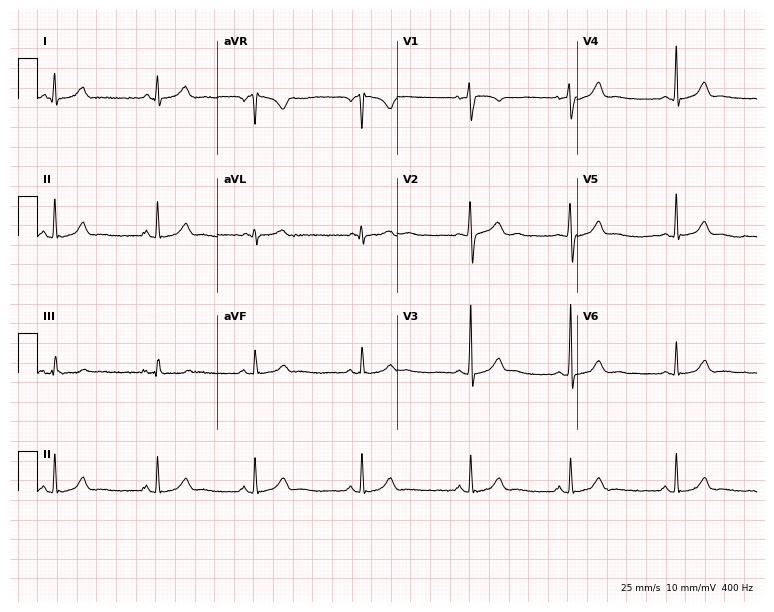
Resting 12-lead electrocardiogram. Patient: a 22-year-old female. Read as a normal ECG.